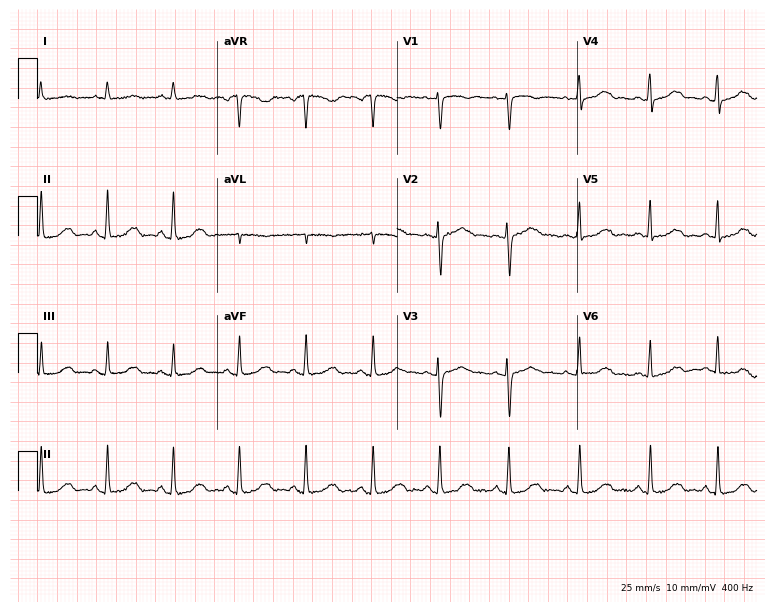
Resting 12-lead electrocardiogram (7.3-second recording at 400 Hz). Patient: a 36-year-old woman. None of these six findings is recorded: first-degree AV block, right bundle branch block, left bundle branch block, sinus bradycardia, atrial fibrillation, sinus tachycardia. Other findings, if any, are not listed.